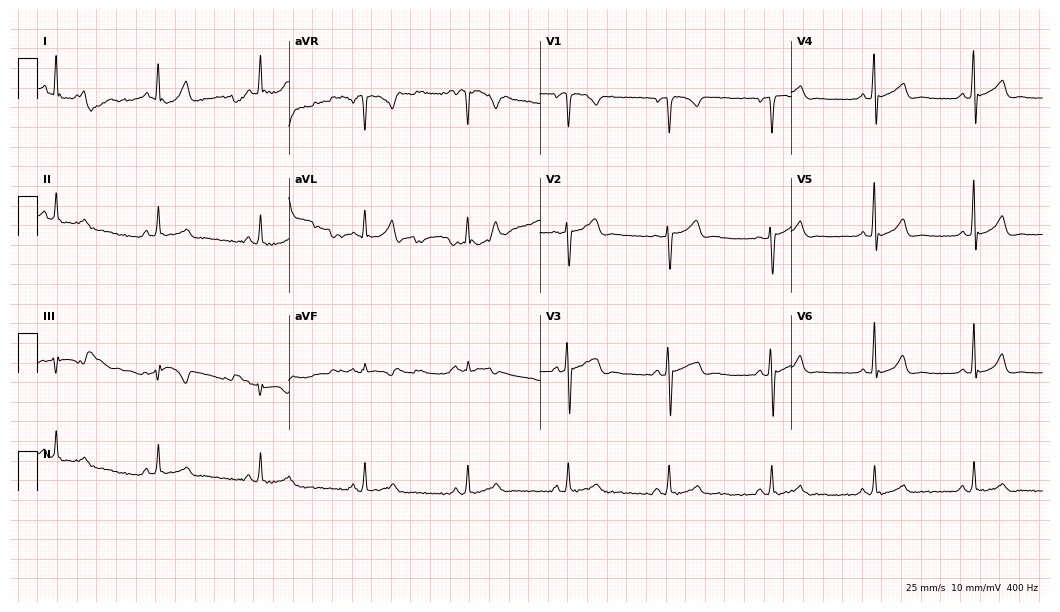
ECG — a 51-year-old male. Labelled as a normal ECG.